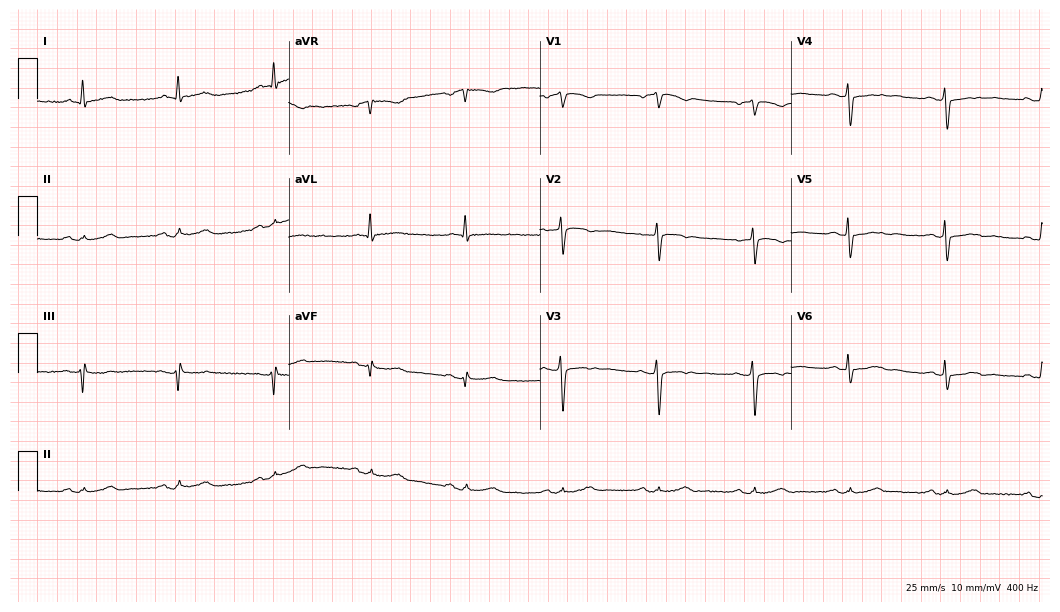
ECG — a man, 68 years old. Screened for six findings — first-degree AV block, right bundle branch block (RBBB), left bundle branch block (LBBB), sinus bradycardia, atrial fibrillation (AF), sinus tachycardia — none is recorded.